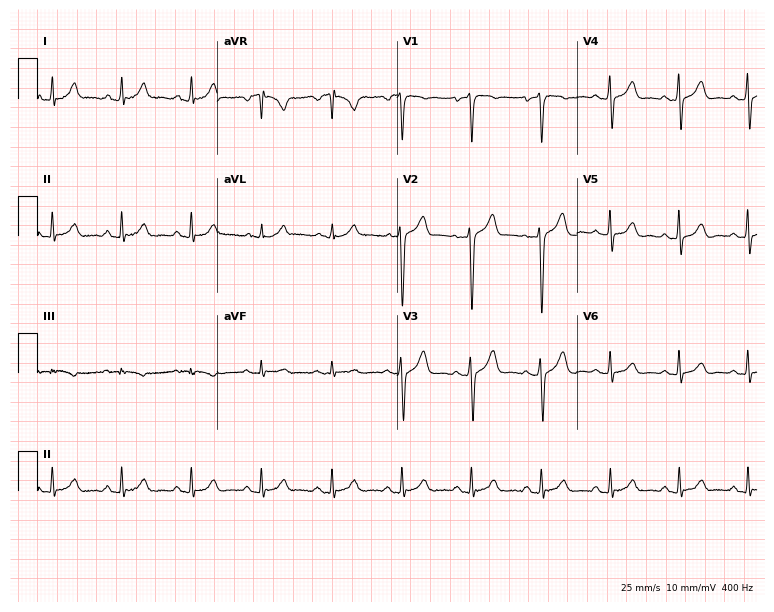
ECG (7.3-second recording at 400 Hz) — a 50-year-old male. Labelled as a normal ECG.